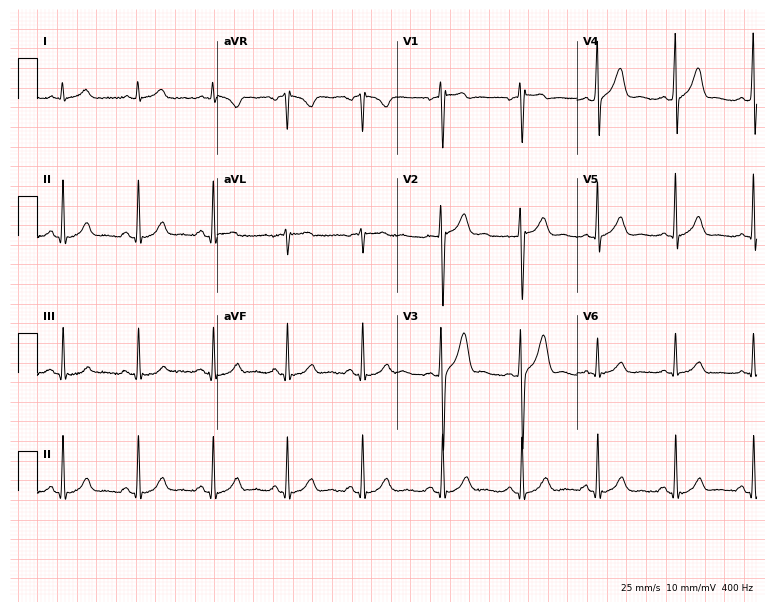
Standard 12-lead ECG recorded from a 35-year-old male patient (7.3-second recording at 400 Hz). Read as a normal ECG.